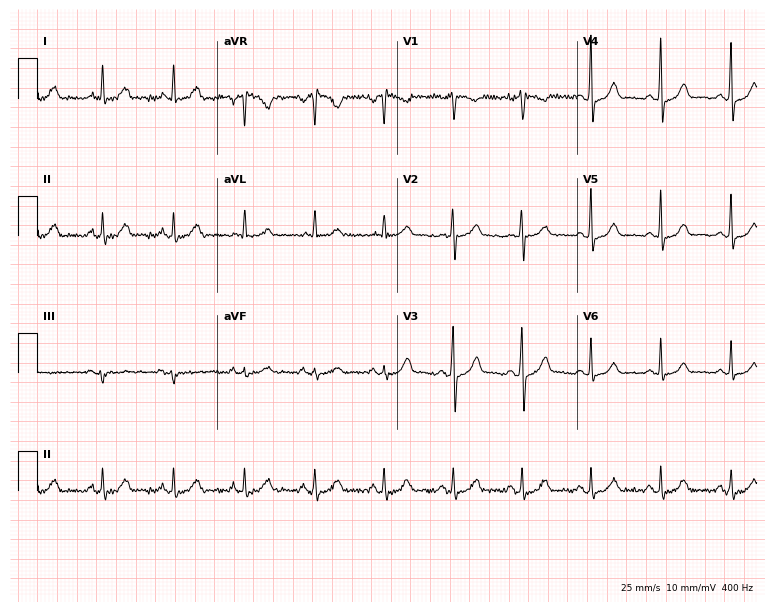
12-lead ECG from a 66-year-old man. Recorded interpretation: within normal limits.